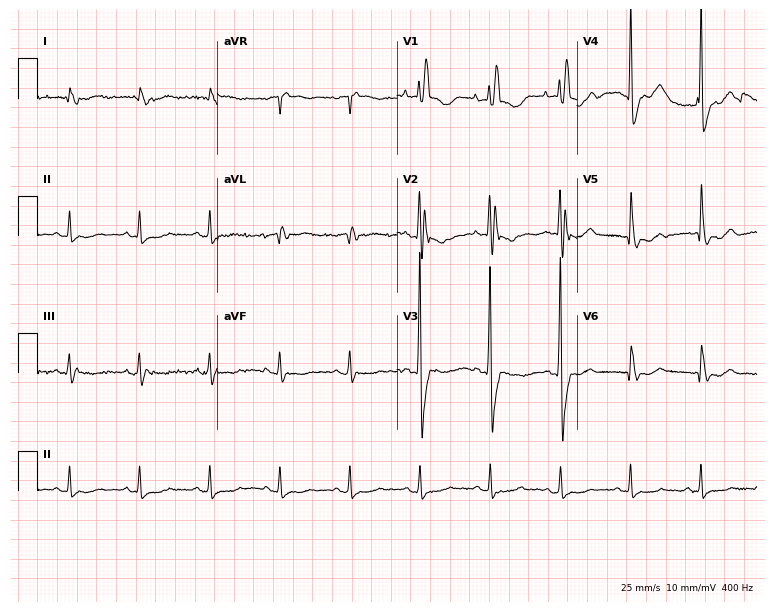
12-lead ECG from a 72-year-old female patient (7.3-second recording at 400 Hz). Shows right bundle branch block (RBBB).